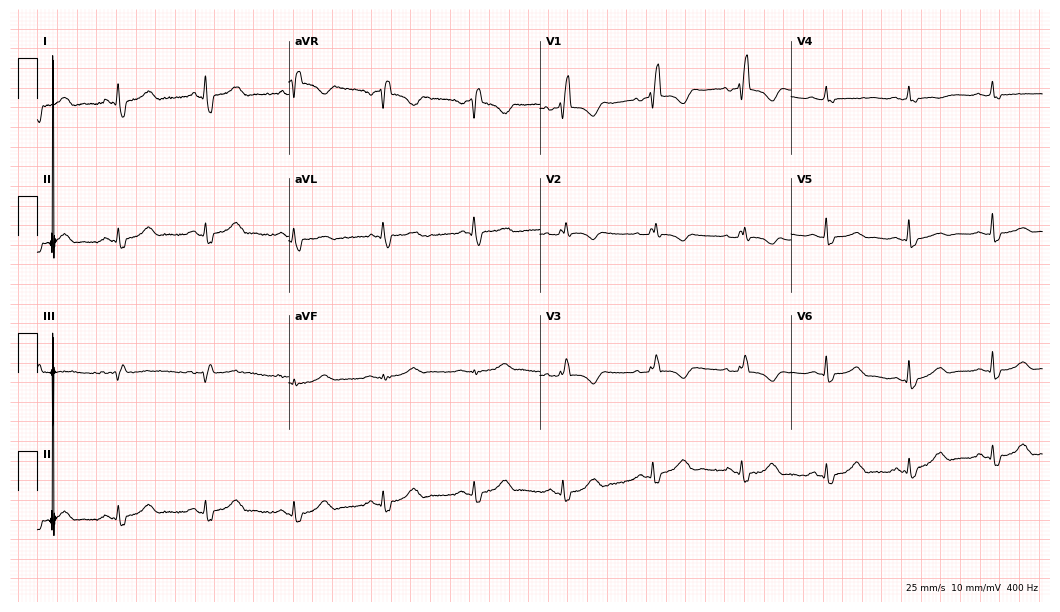
12-lead ECG from a woman, 79 years old. Shows right bundle branch block.